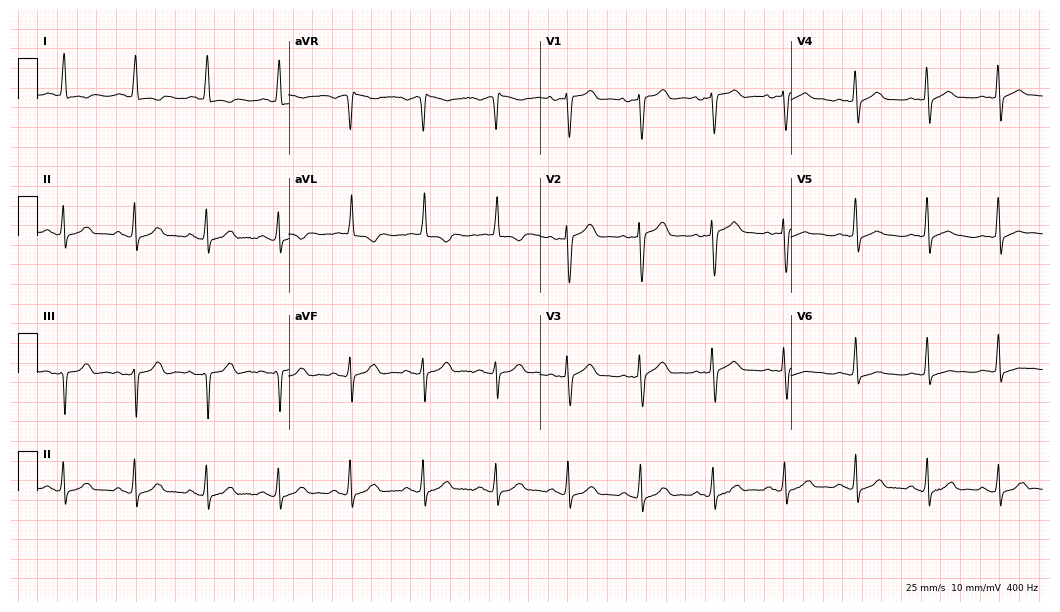
Standard 12-lead ECG recorded from a male patient, 78 years old (10.2-second recording at 400 Hz). None of these six findings is recorded: first-degree AV block, right bundle branch block (RBBB), left bundle branch block (LBBB), sinus bradycardia, atrial fibrillation (AF), sinus tachycardia.